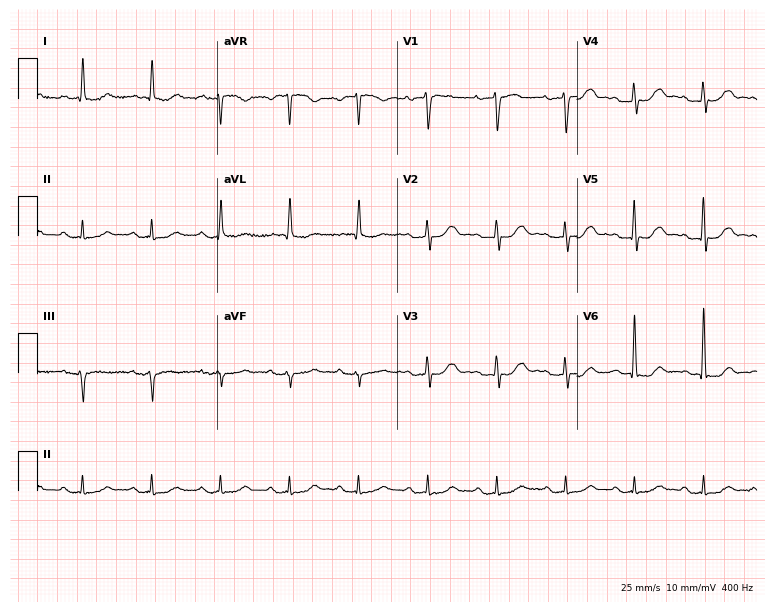
Electrocardiogram (7.3-second recording at 400 Hz), a male patient, 78 years old. Interpretation includes first-degree AV block.